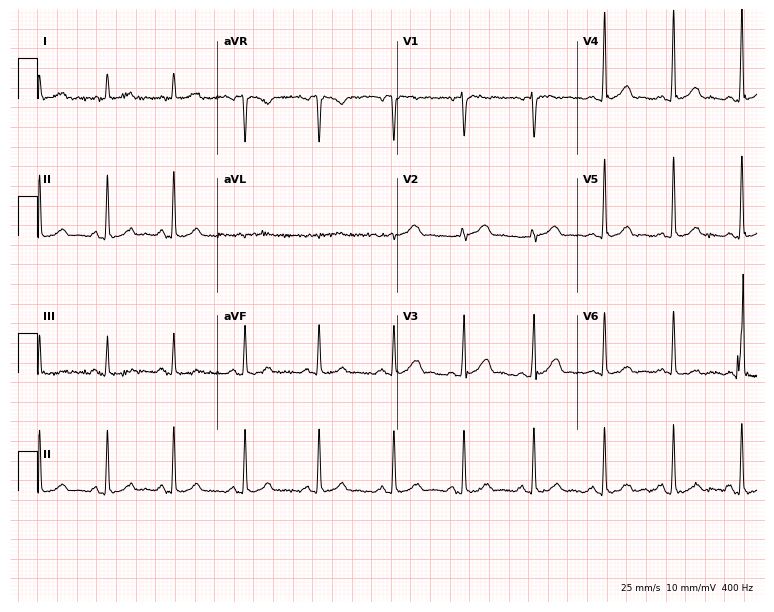
ECG (7.3-second recording at 400 Hz) — a female, 34 years old. Labelled as a normal ECG.